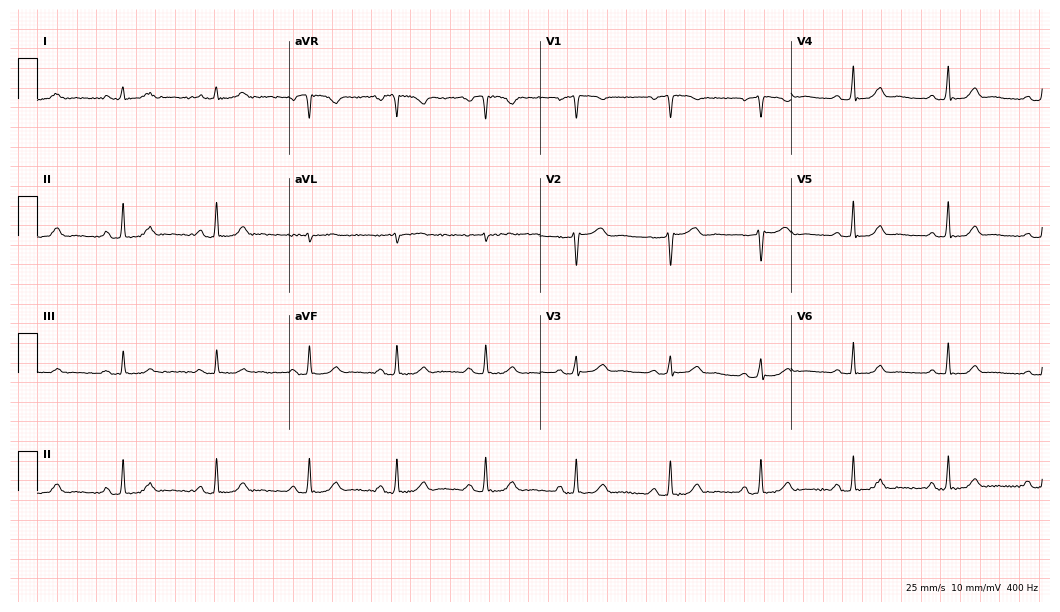
ECG (10.2-second recording at 400 Hz) — a 30-year-old woman. Screened for six findings — first-degree AV block, right bundle branch block (RBBB), left bundle branch block (LBBB), sinus bradycardia, atrial fibrillation (AF), sinus tachycardia — none is recorded. Other findings, if any, are not listed.